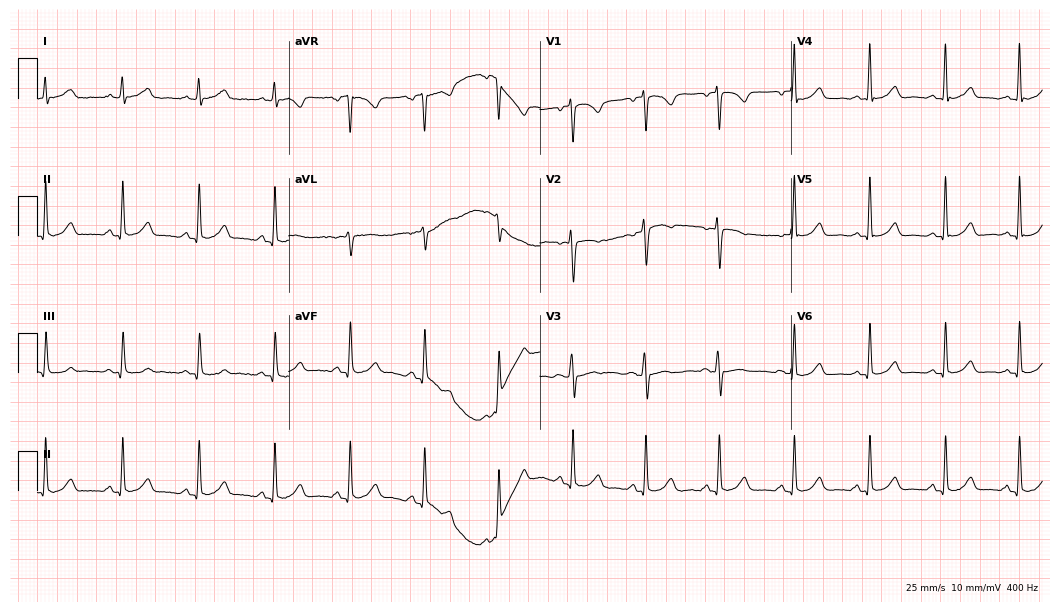
ECG — a 42-year-old woman. Labelled as a normal ECG.